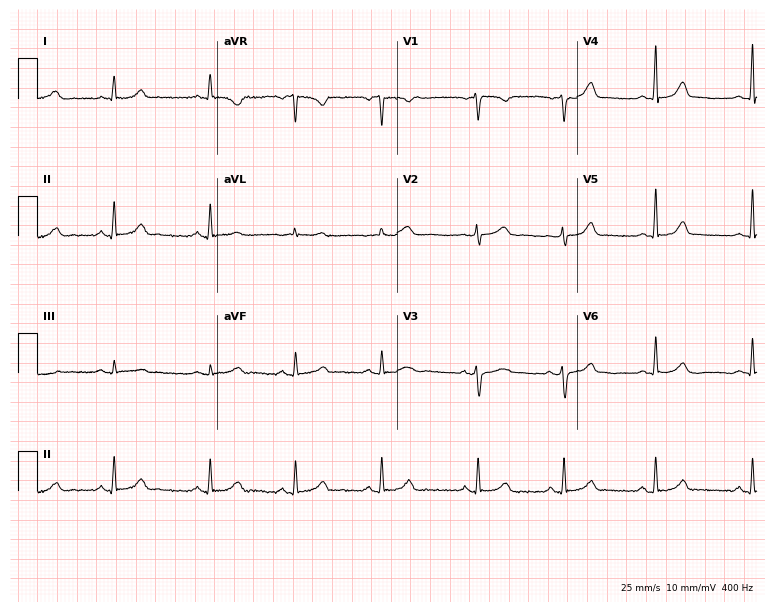
Resting 12-lead electrocardiogram. Patient: a female, 42 years old. Read as a normal ECG.